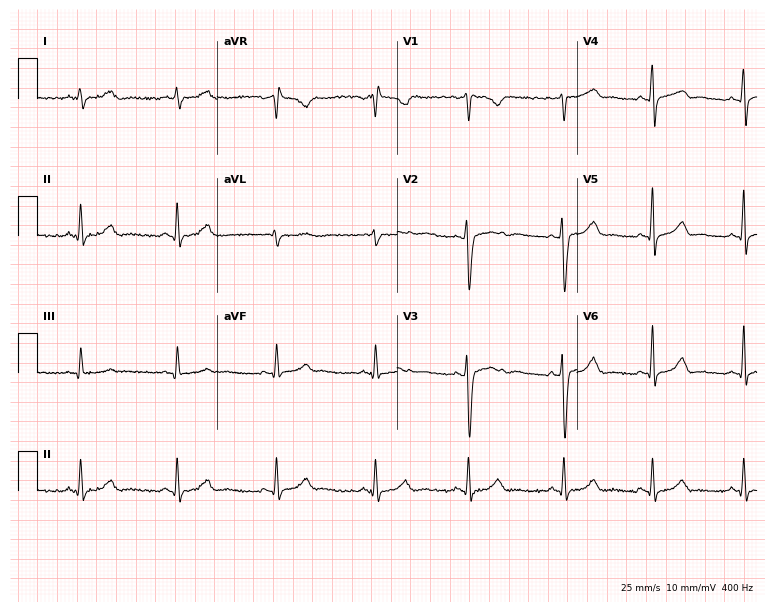
12-lead ECG (7.3-second recording at 400 Hz) from a 32-year-old female patient. Labelled as a normal ECG.